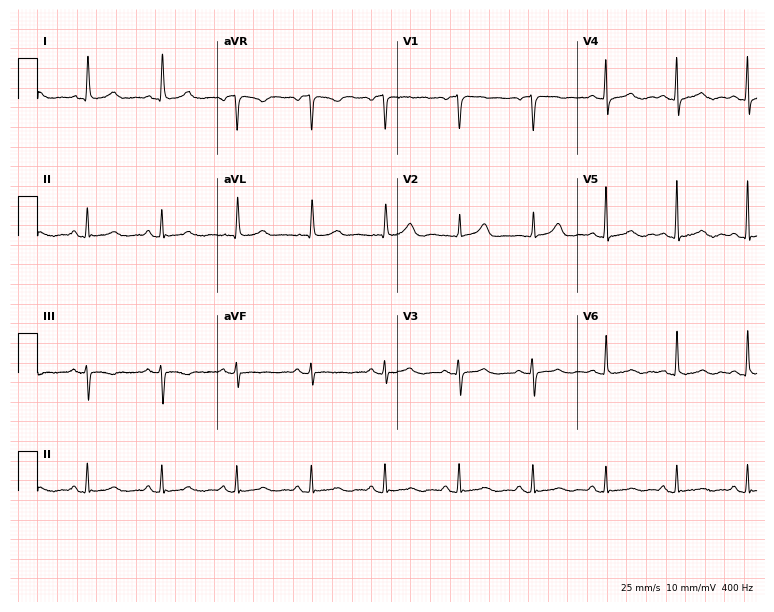
12-lead ECG (7.3-second recording at 400 Hz) from a female patient, 60 years old. Labelled as a normal ECG.